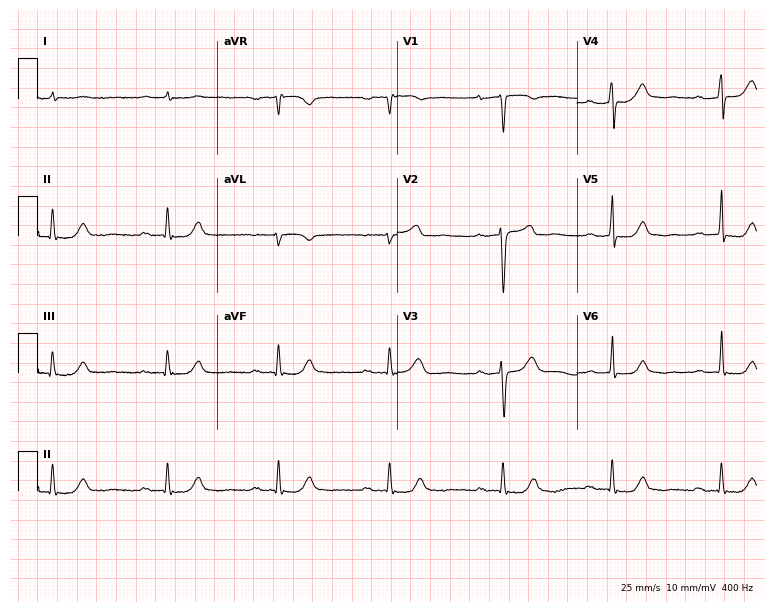
Electrocardiogram (7.3-second recording at 400 Hz), a male, 85 years old. Of the six screened findings (first-degree AV block, right bundle branch block (RBBB), left bundle branch block (LBBB), sinus bradycardia, atrial fibrillation (AF), sinus tachycardia), none is recorded. Other findings, if any, are not listed.